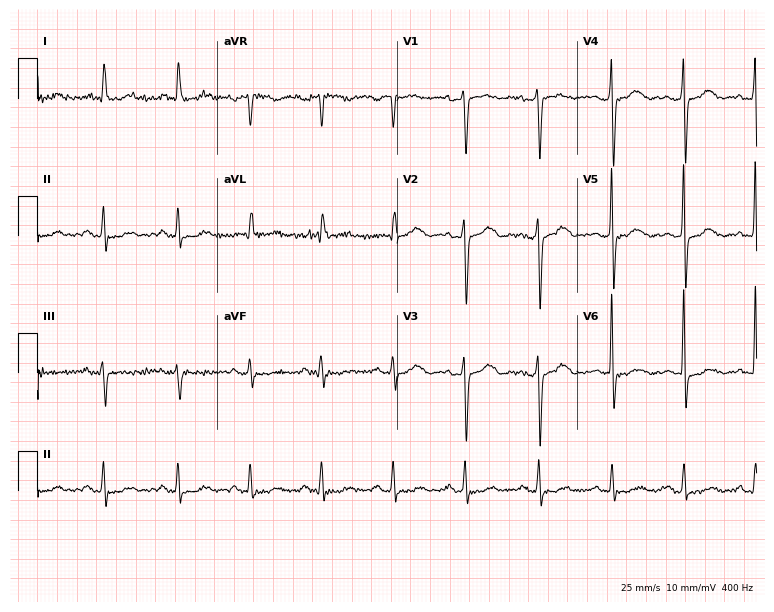
Electrocardiogram, a woman, 49 years old. Of the six screened findings (first-degree AV block, right bundle branch block (RBBB), left bundle branch block (LBBB), sinus bradycardia, atrial fibrillation (AF), sinus tachycardia), none is recorded. Other findings, if any, are not listed.